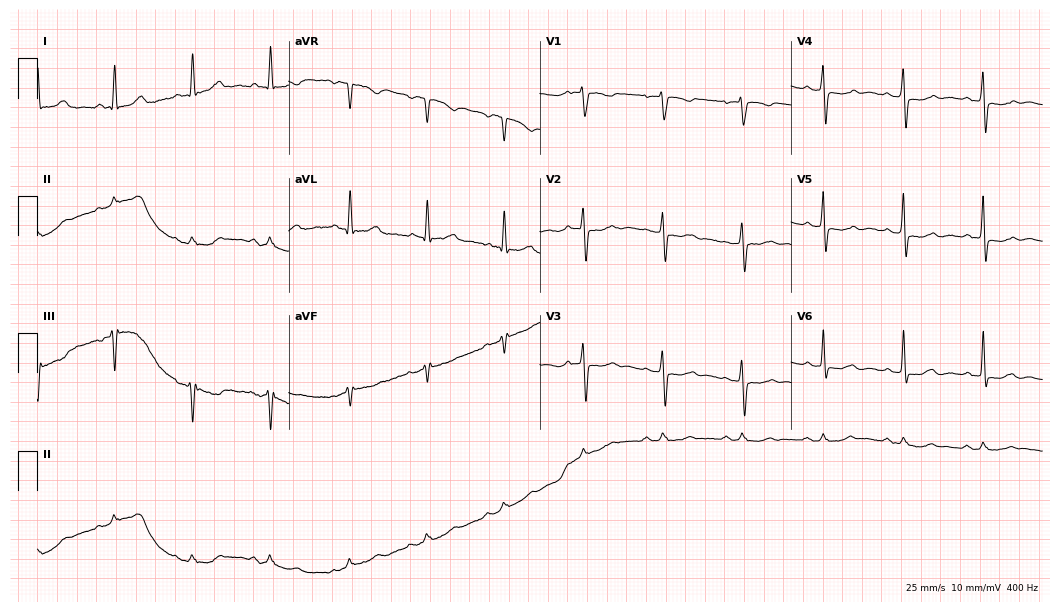
ECG — a 74-year-old female. Labelled as a normal ECG.